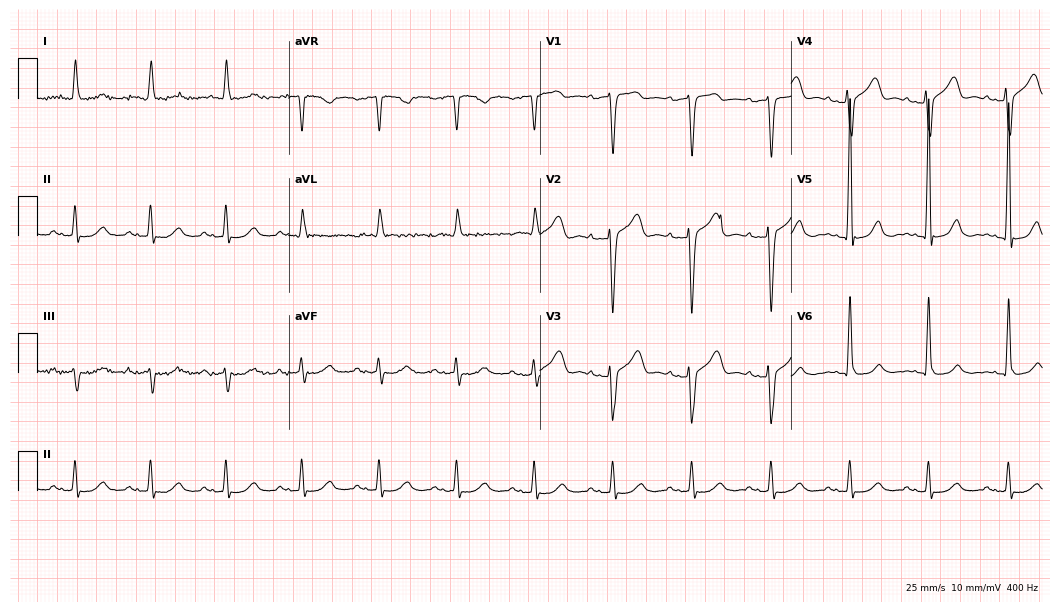
Standard 12-lead ECG recorded from a man, 80 years old (10.2-second recording at 400 Hz). The tracing shows first-degree AV block.